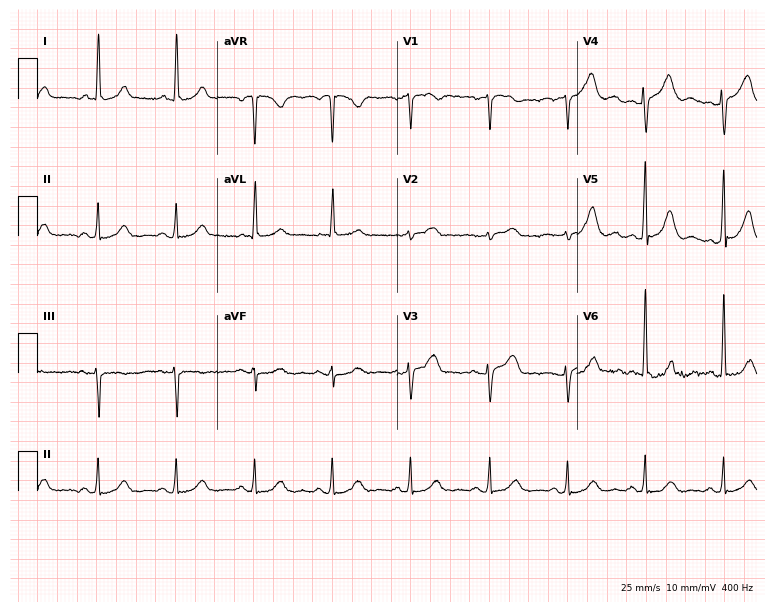
12-lead ECG from a female patient, 70 years old. Recorded interpretation: within normal limits.